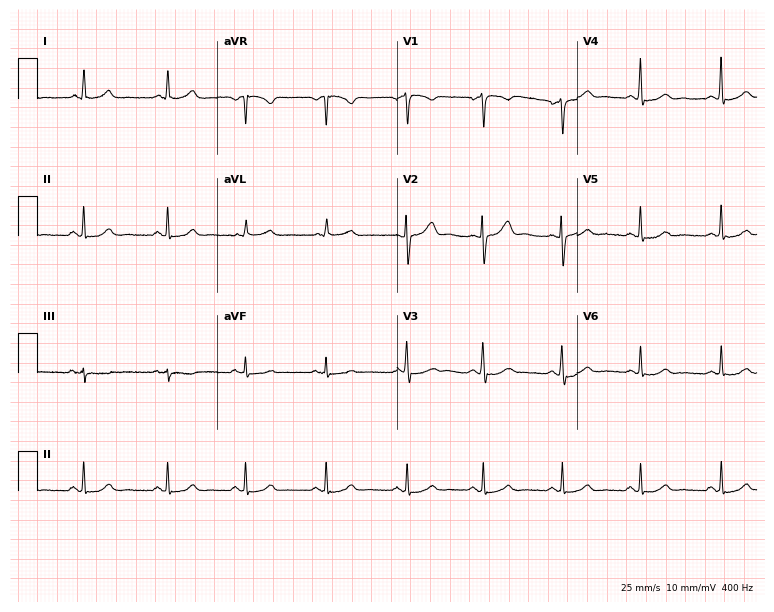
Standard 12-lead ECG recorded from a 43-year-old female (7.3-second recording at 400 Hz). Read as a normal ECG.